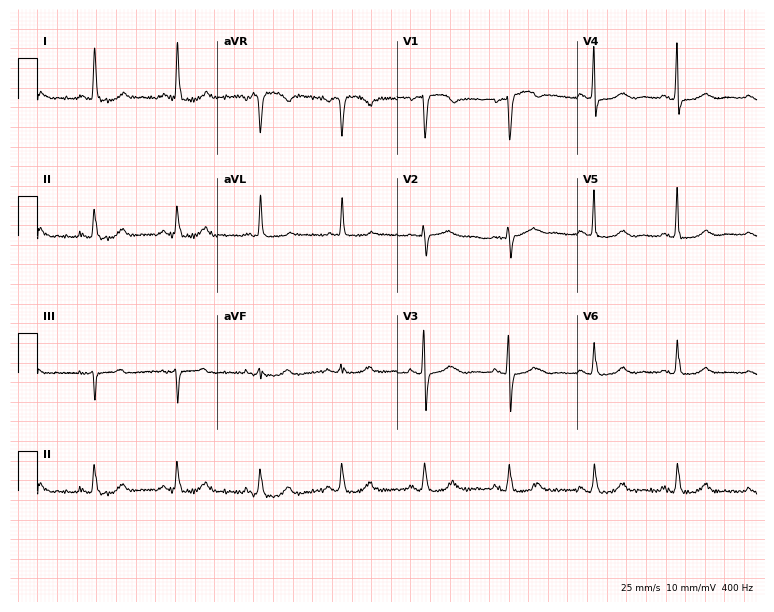
Electrocardiogram, a 70-year-old female patient. Overall reading on record: normal ECG.